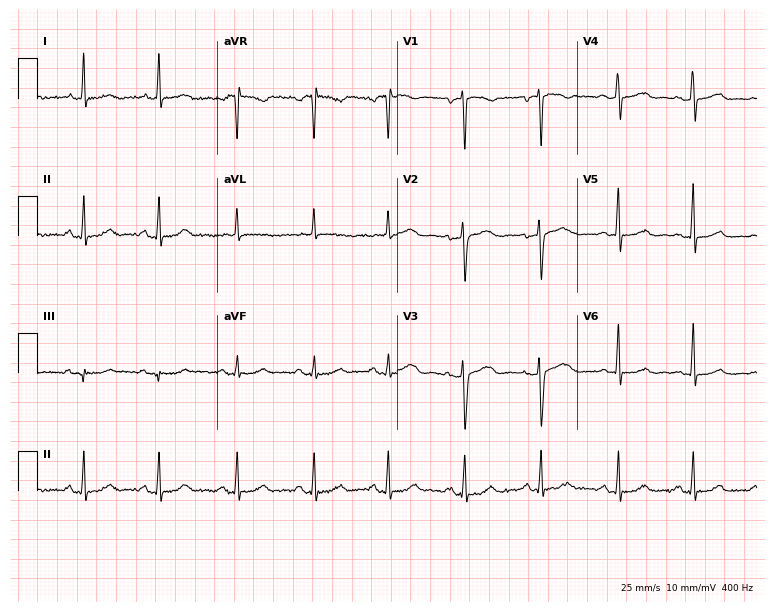
Resting 12-lead electrocardiogram (7.3-second recording at 400 Hz). Patient: a female, 40 years old. None of these six findings is recorded: first-degree AV block, right bundle branch block, left bundle branch block, sinus bradycardia, atrial fibrillation, sinus tachycardia.